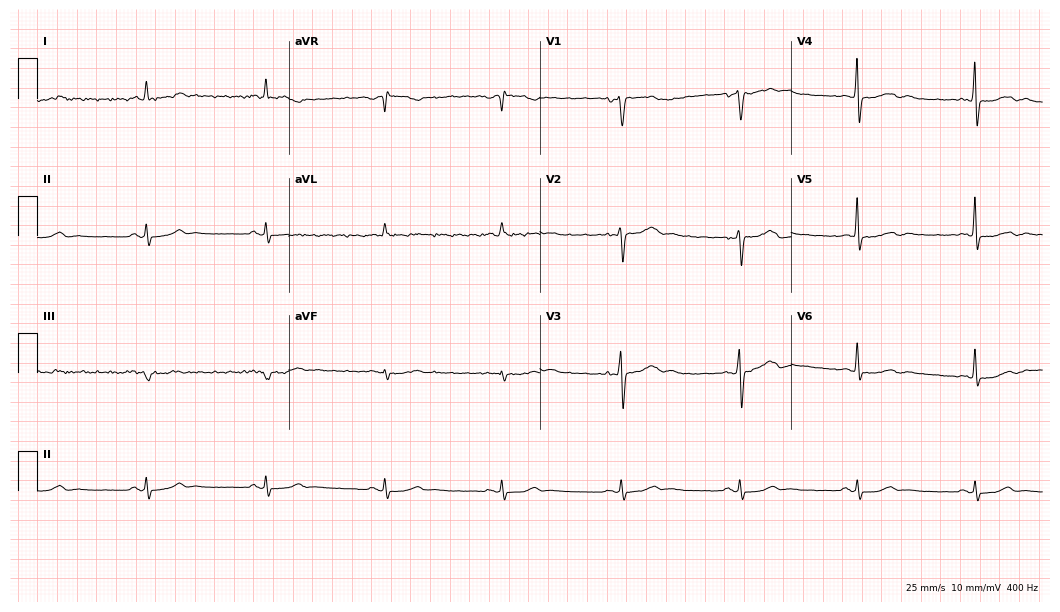
Resting 12-lead electrocardiogram (10.2-second recording at 400 Hz). Patient: a female, 71 years old. None of these six findings is recorded: first-degree AV block, right bundle branch block (RBBB), left bundle branch block (LBBB), sinus bradycardia, atrial fibrillation (AF), sinus tachycardia.